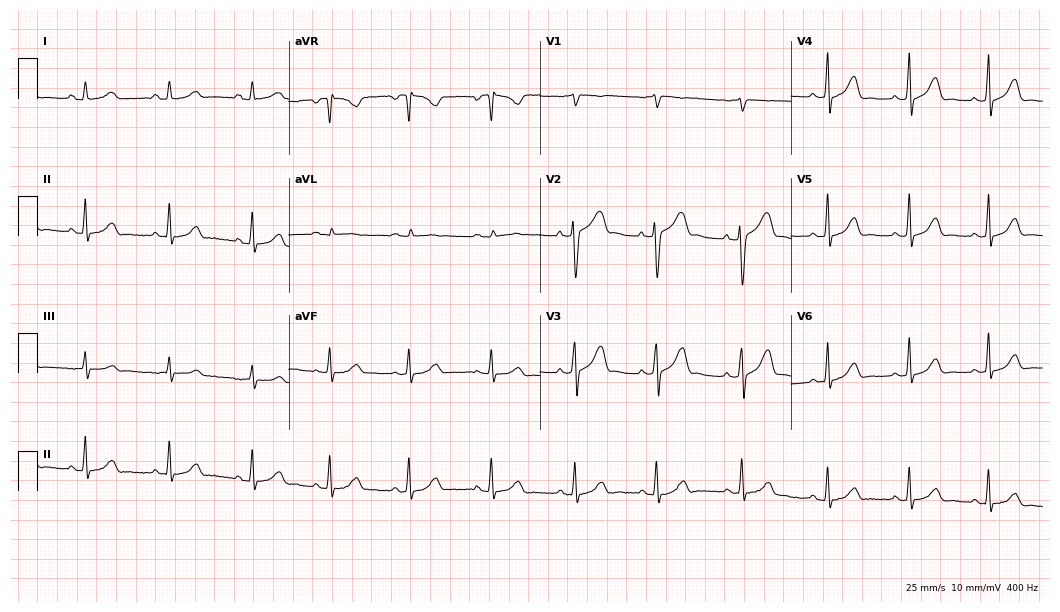
Resting 12-lead electrocardiogram (10.2-second recording at 400 Hz). Patient: a 27-year-old woman. None of these six findings is recorded: first-degree AV block, right bundle branch block, left bundle branch block, sinus bradycardia, atrial fibrillation, sinus tachycardia. Findings outside these six are not listed.